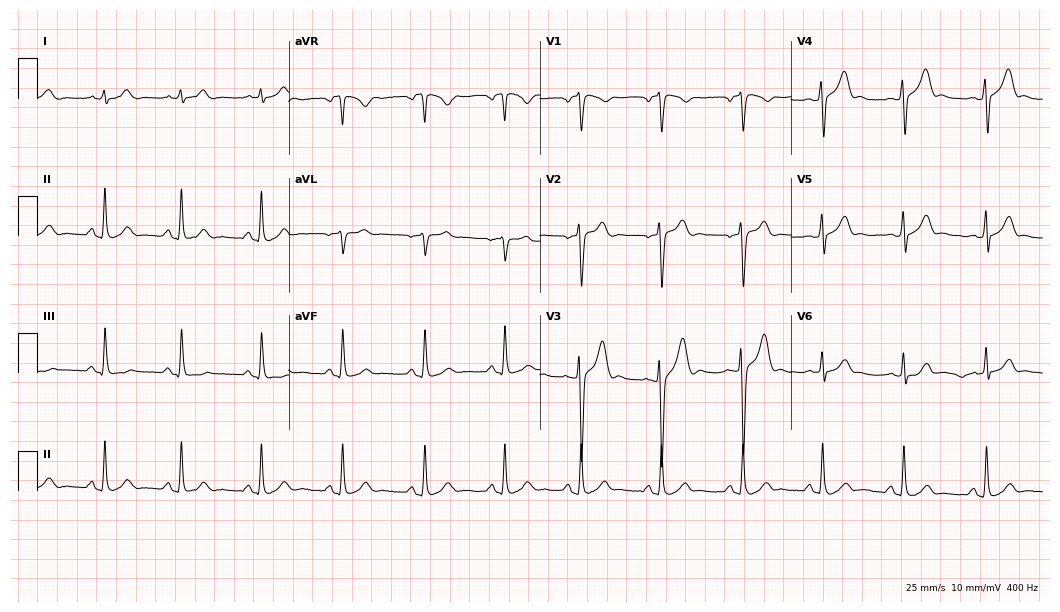
Standard 12-lead ECG recorded from a man, 33 years old. Read as a normal ECG.